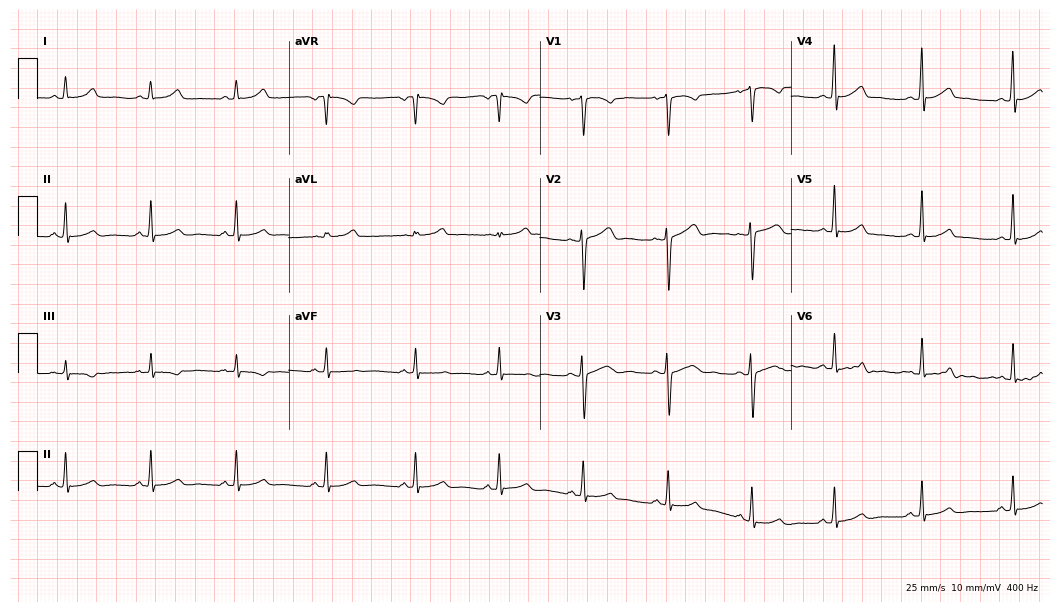
Electrocardiogram (10.2-second recording at 400 Hz), a man, 30 years old. Overall reading on record: normal ECG.